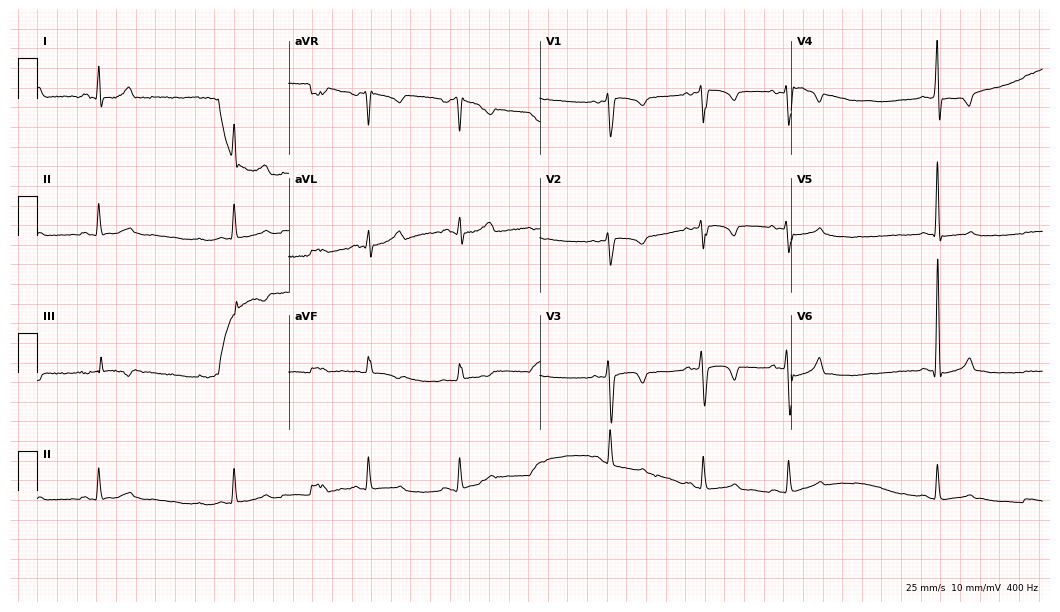
12-lead ECG (10.2-second recording at 400 Hz) from a 20-year-old male. Screened for six findings — first-degree AV block, right bundle branch block, left bundle branch block, sinus bradycardia, atrial fibrillation, sinus tachycardia — none is recorded.